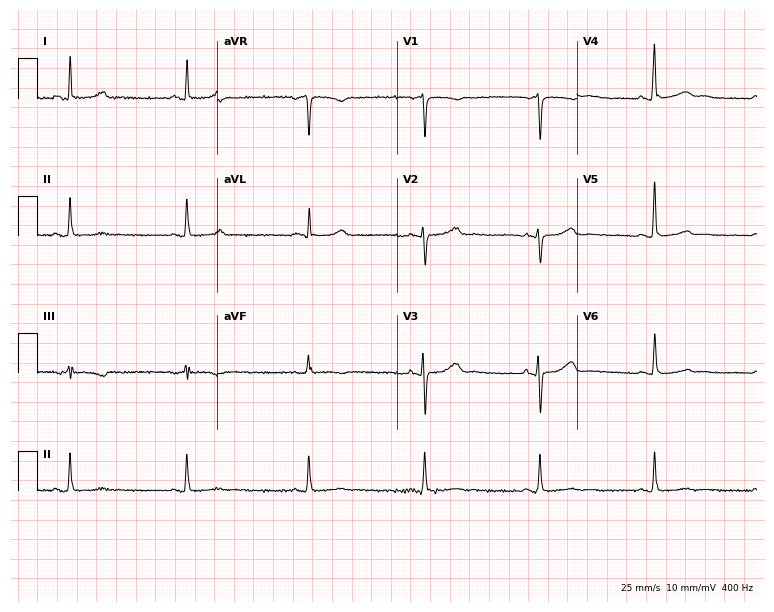
ECG (7.3-second recording at 400 Hz) — a 52-year-old female patient. Findings include sinus bradycardia (a sinus rate of 50 beats per minute or less).